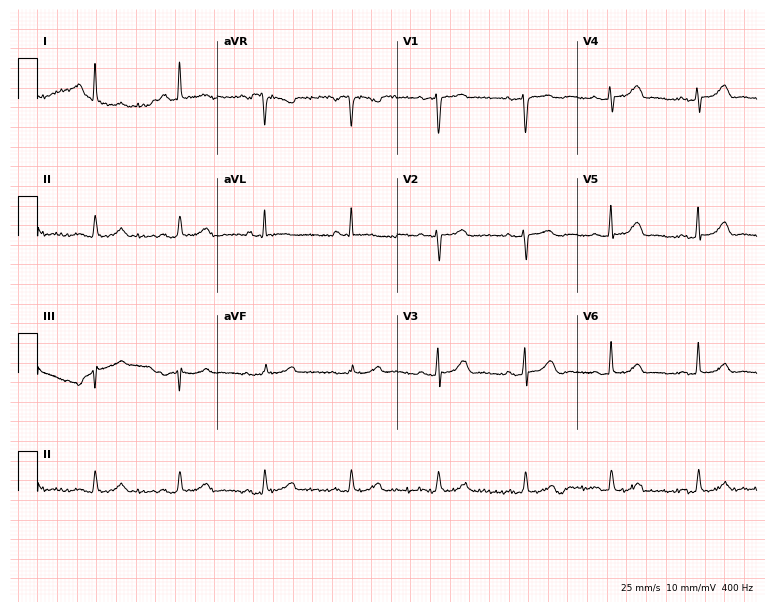
12-lead ECG from a female, 59 years old. Labelled as a normal ECG.